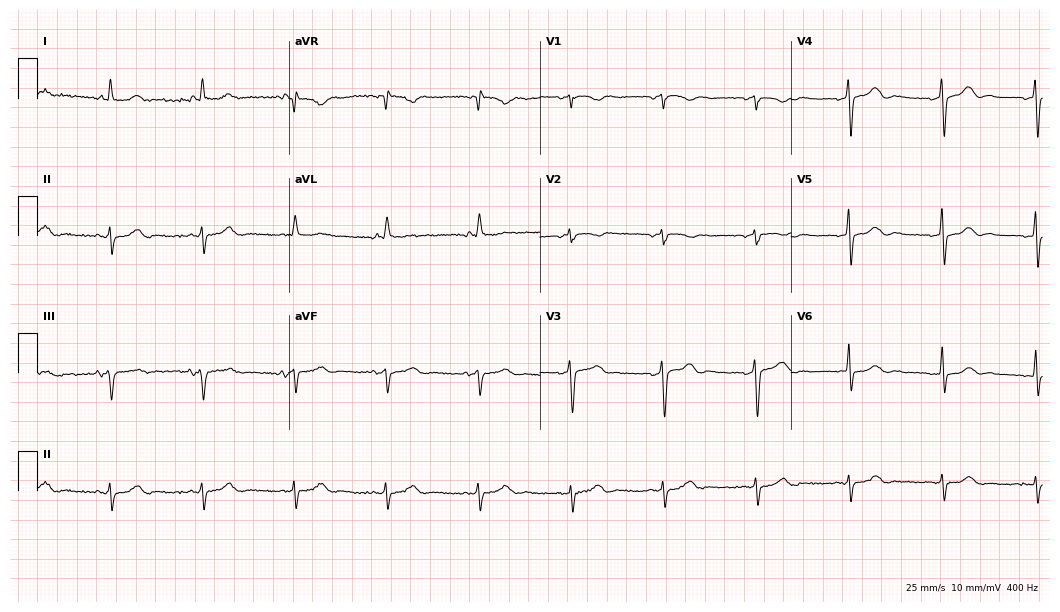
12-lead ECG from an 84-year-old woman. No first-degree AV block, right bundle branch block (RBBB), left bundle branch block (LBBB), sinus bradycardia, atrial fibrillation (AF) or sinus tachycardia recorded for this tracing. Other findings, if any, are not listed.